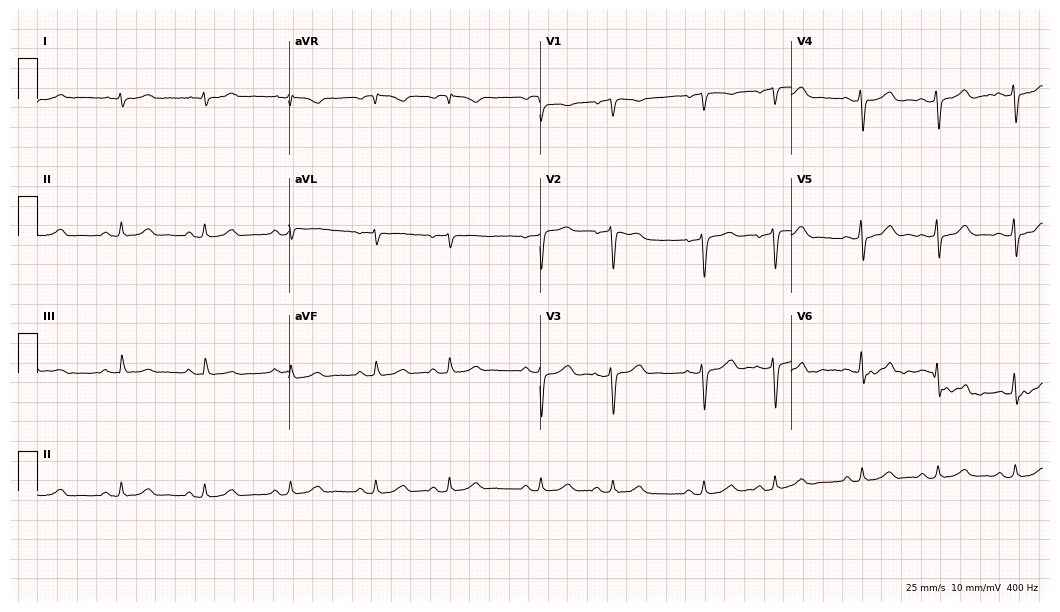
Resting 12-lead electrocardiogram (10.2-second recording at 400 Hz). Patient: a man, 80 years old. Read as a normal ECG.